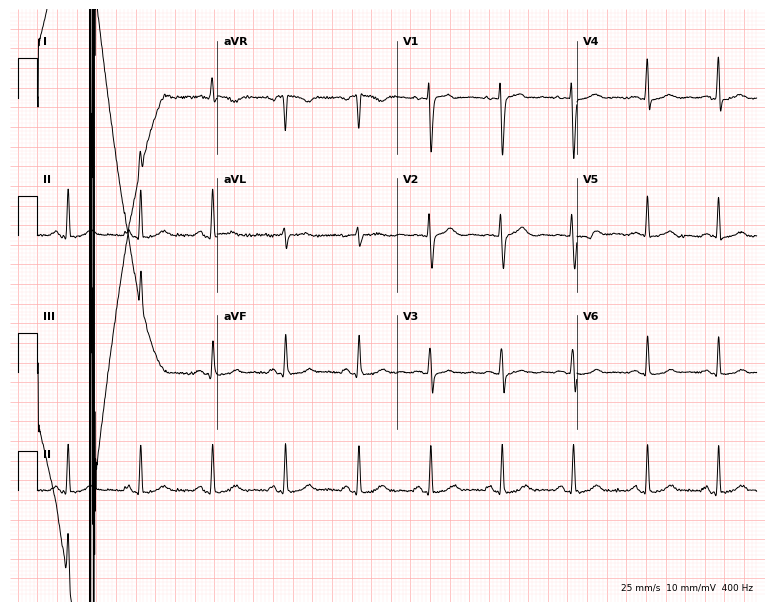
ECG (7.3-second recording at 400 Hz) — a 36-year-old female patient. Labelled as a normal ECG.